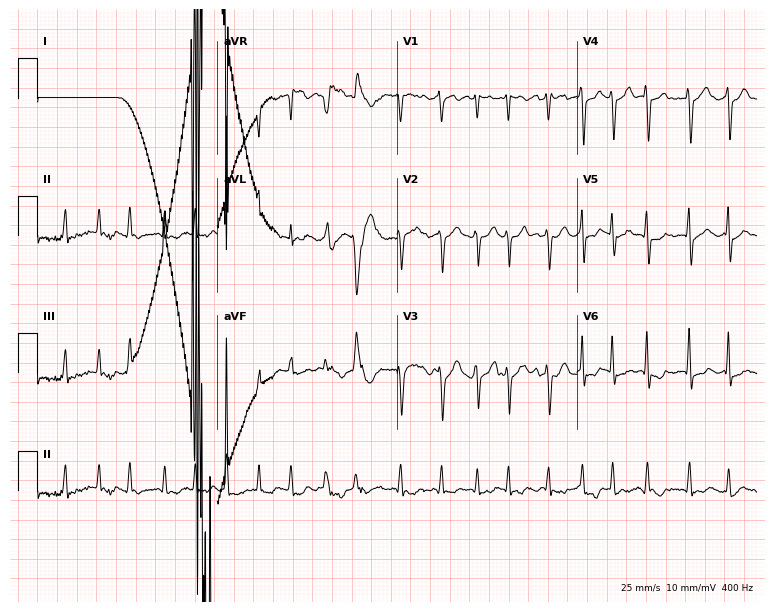
12-lead ECG (7.3-second recording at 400 Hz) from a woman, 66 years old. Findings include atrial fibrillation.